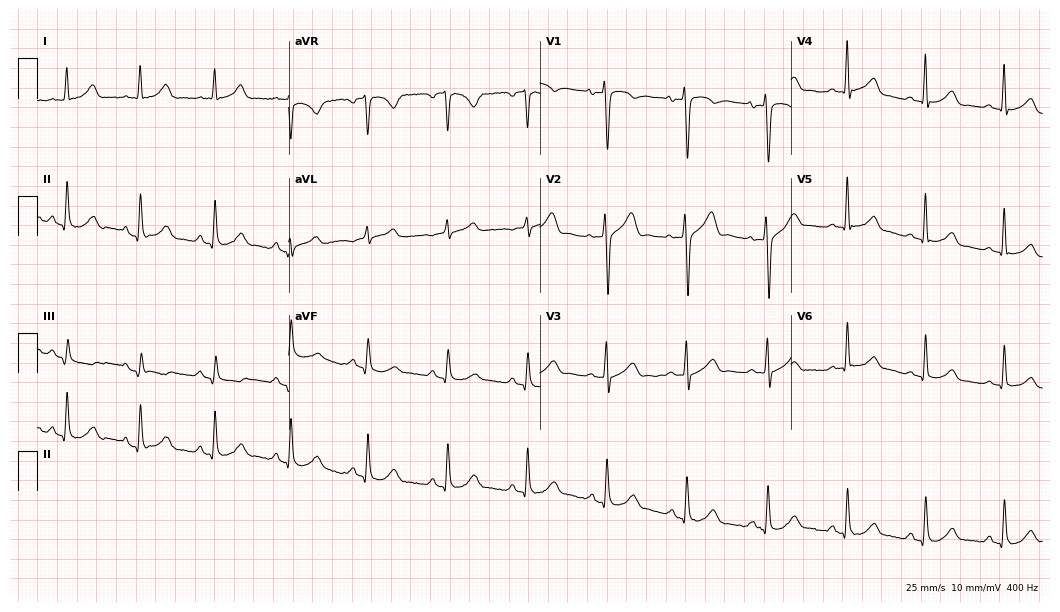
12-lead ECG (10.2-second recording at 400 Hz) from a 40-year-old man. Labelled as a normal ECG.